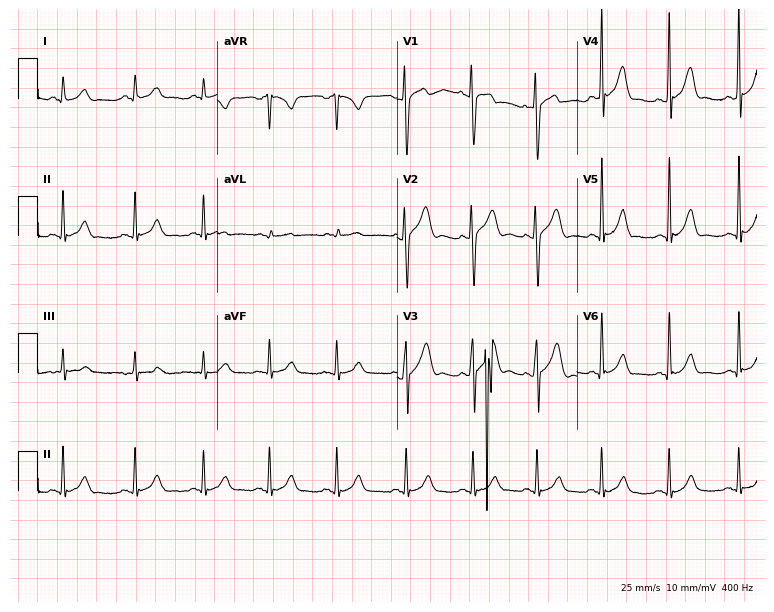
12-lead ECG (7.3-second recording at 400 Hz) from a male, 20 years old. Labelled as a normal ECG.